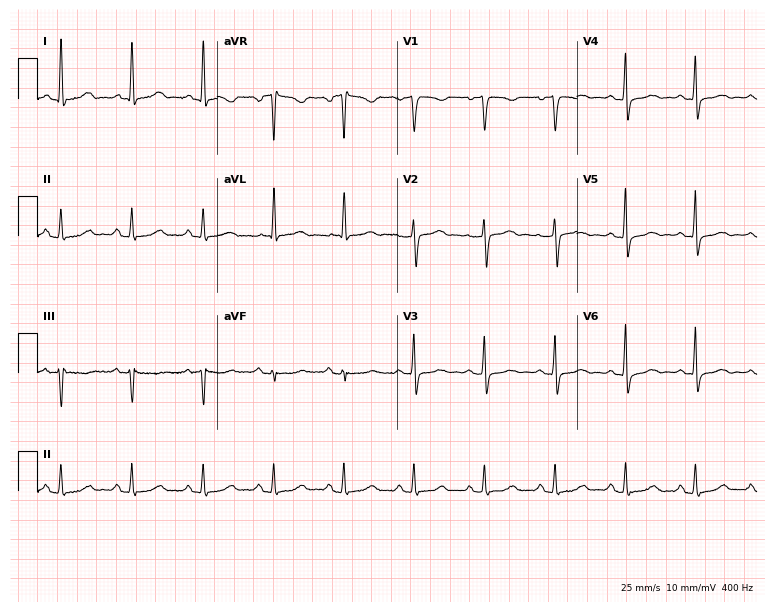
Electrocardiogram (7.3-second recording at 400 Hz), a 68-year-old woman. Overall reading on record: normal ECG.